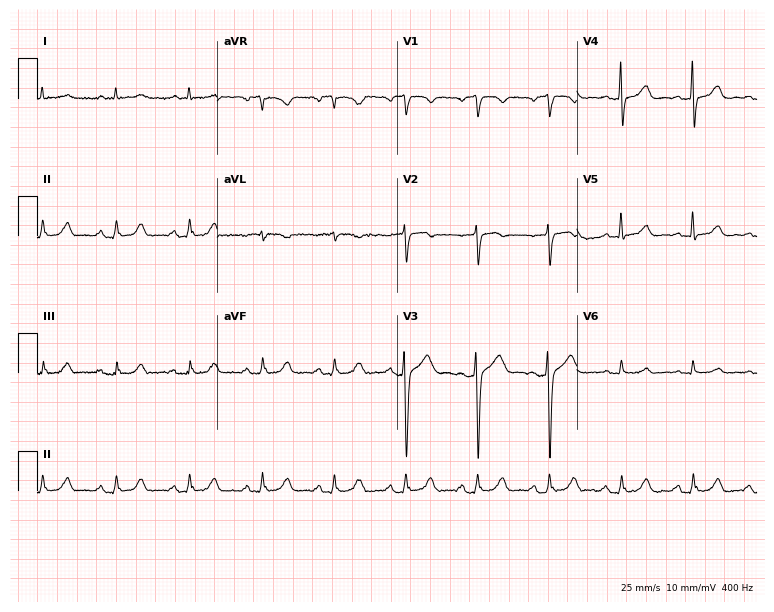
Electrocardiogram, a male, 79 years old. Overall reading on record: normal ECG.